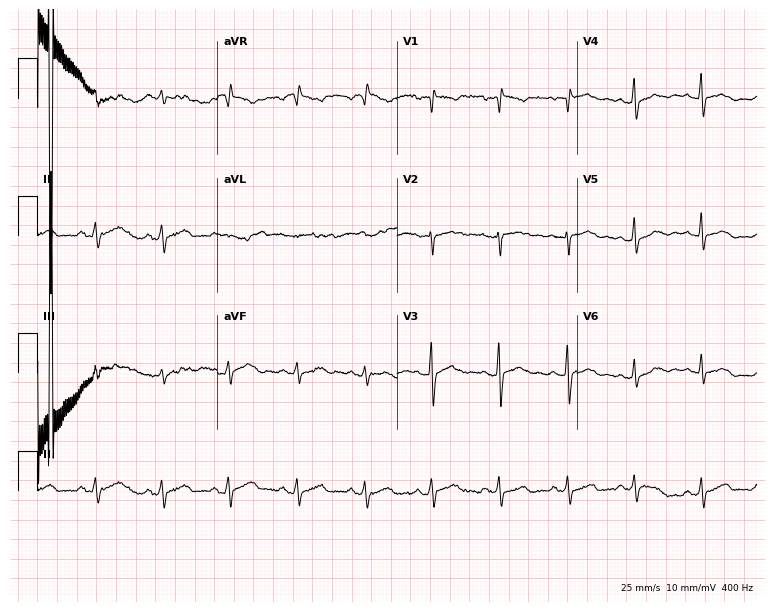
12-lead ECG from a 33-year-old female patient. No first-degree AV block, right bundle branch block (RBBB), left bundle branch block (LBBB), sinus bradycardia, atrial fibrillation (AF) or sinus tachycardia recorded for this tracing. Other findings, if any, are not listed.